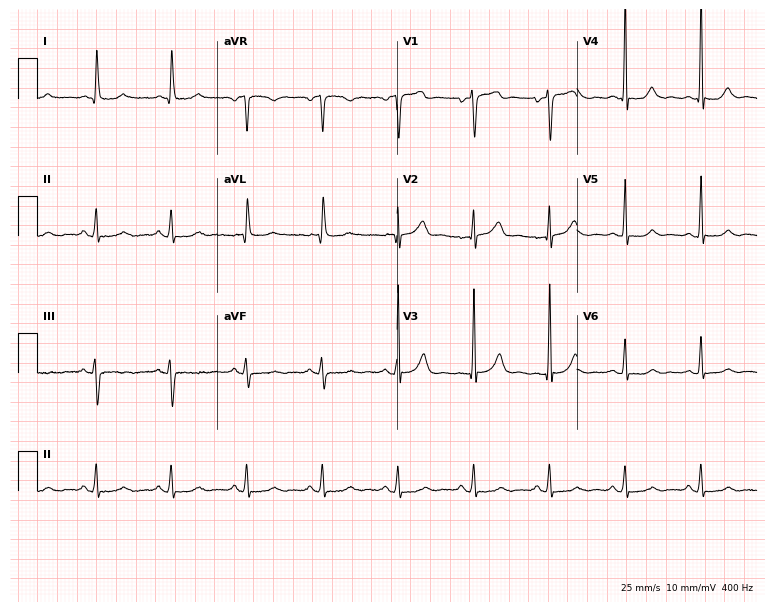
12-lead ECG (7.3-second recording at 400 Hz) from a 63-year-old male. Screened for six findings — first-degree AV block, right bundle branch block (RBBB), left bundle branch block (LBBB), sinus bradycardia, atrial fibrillation (AF), sinus tachycardia — none is recorded.